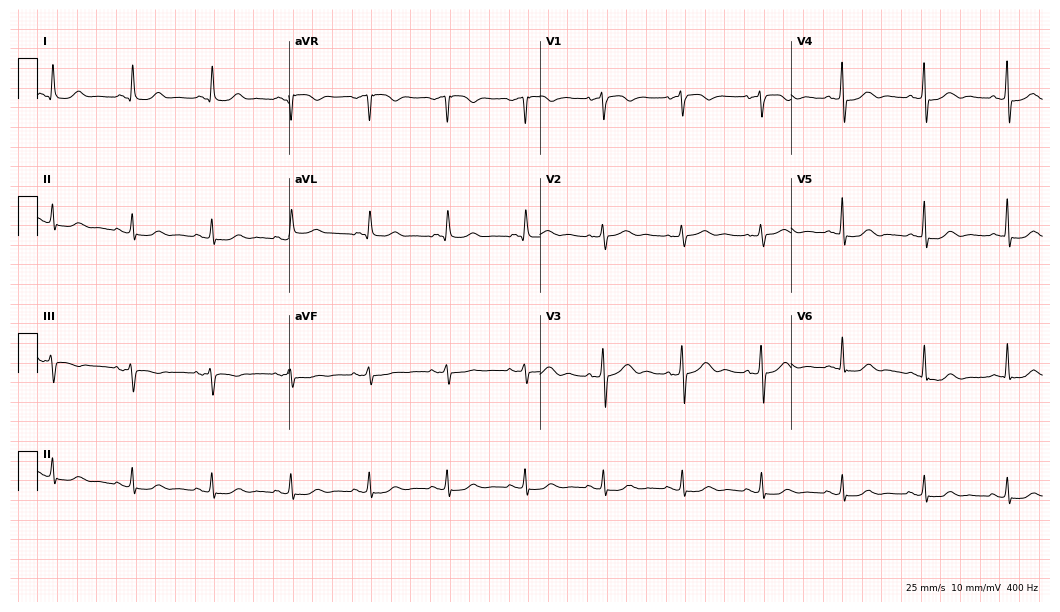
ECG (10.2-second recording at 400 Hz) — a male patient, 67 years old. Labelled as a normal ECG.